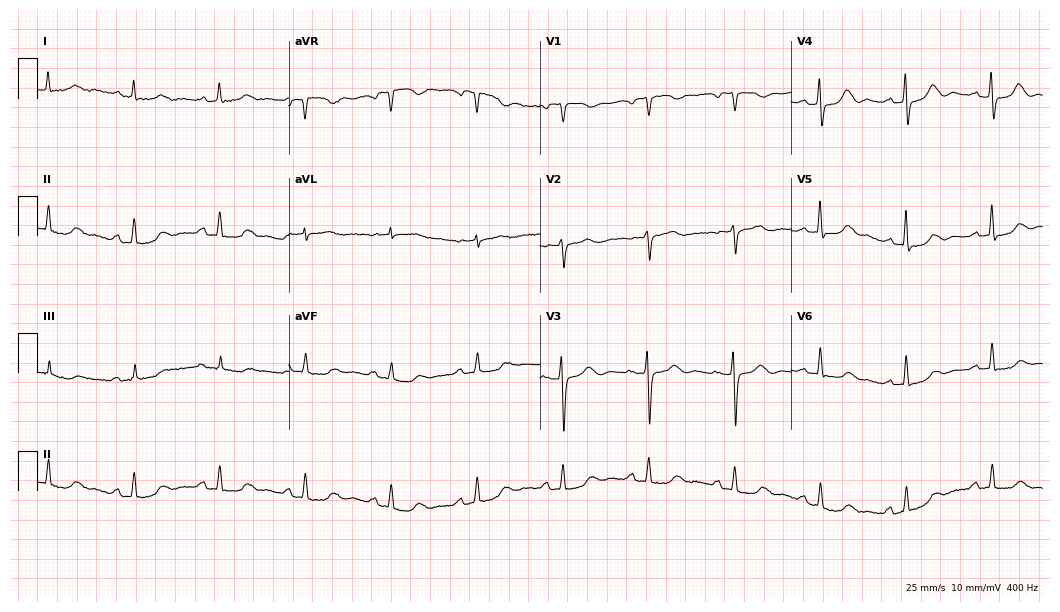
ECG — an 83-year-old female patient. Screened for six findings — first-degree AV block, right bundle branch block, left bundle branch block, sinus bradycardia, atrial fibrillation, sinus tachycardia — none is recorded. Other findings, if any, are not listed.